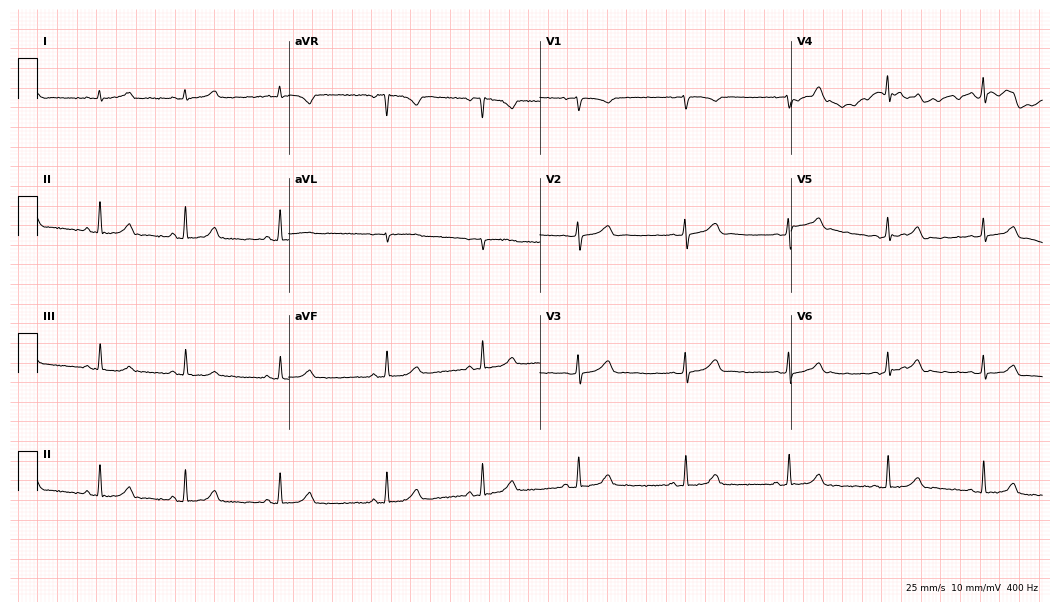
Resting 12-lead electrocardiogram. Patient: a woman, 31 years old. Read as a normal ECG.